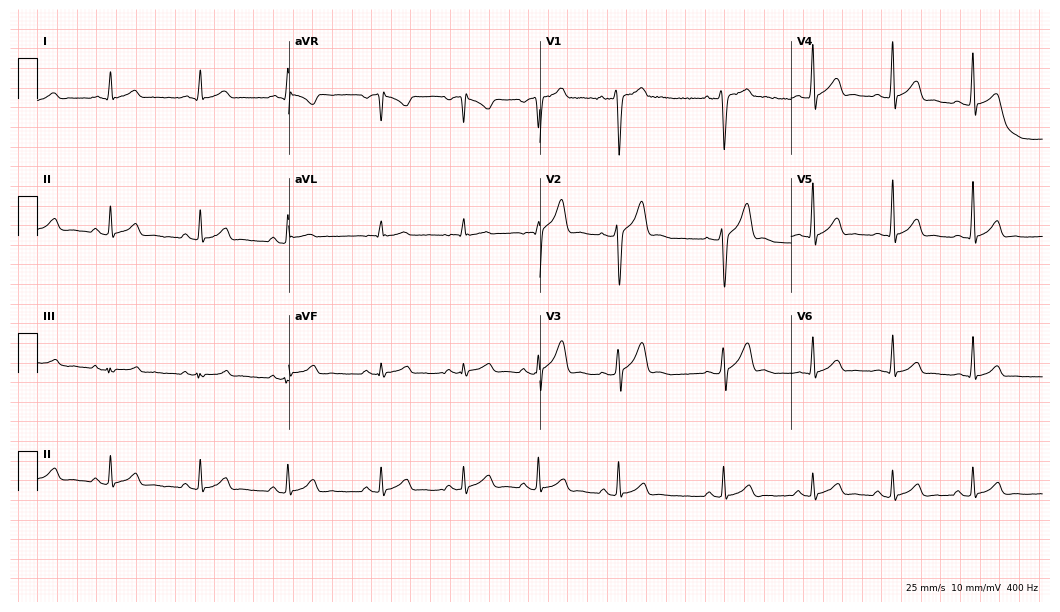
Standard 12-lead ECG recorded from a man, 19 years old. Read as a normal ECG.